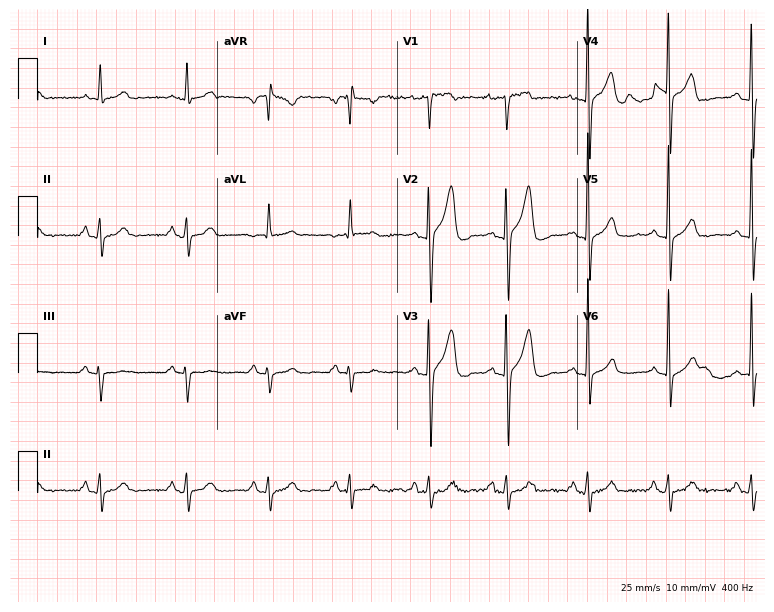
Resting 12-lead electrocardiogram (7.3-second recording at 400 Hz). Patient: a male, 55 years old. None of these six findings is recorded: first-degree AV block, right bundle branch block, left bundle branch block, sinus bradycardia, atrial fibrillation, sinus tachycardia. Findings outside these six are not listed.